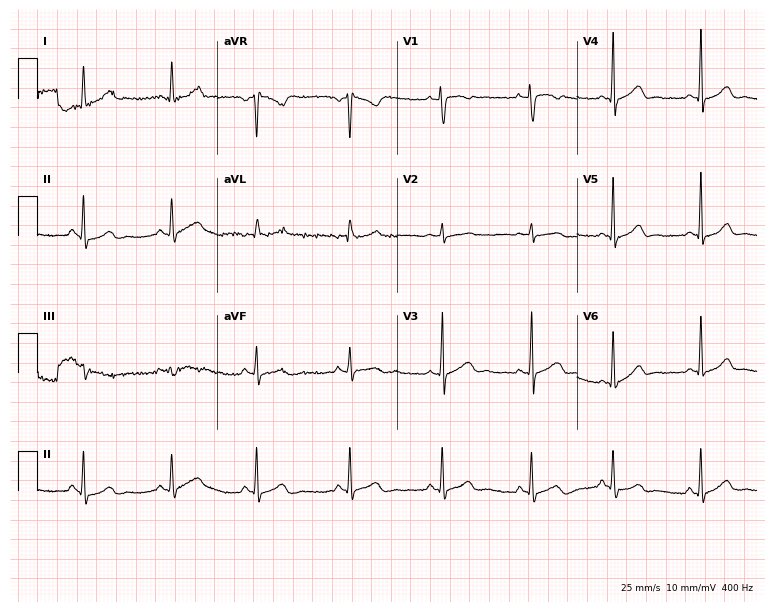
ECG (7.3-second recording at 400 Hz) — a woman, 24 years old. Labelled as a normal ECG.